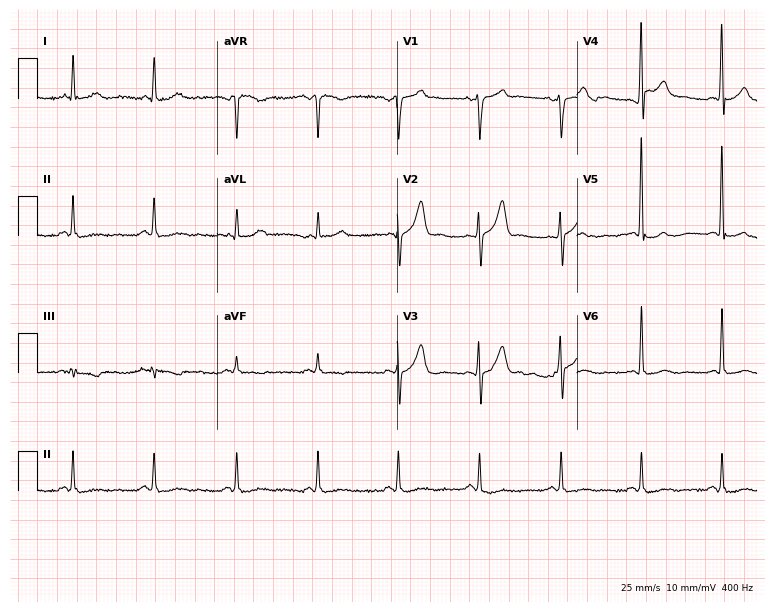
12-lead ECG from a 69-year-old male. No first-degree AV block, right bundle branch block, left bundle branch block, sinus bradycardia, atrial fibrillation or sinus tachycardia recorded for this tracing. Only these six findings were labelled.